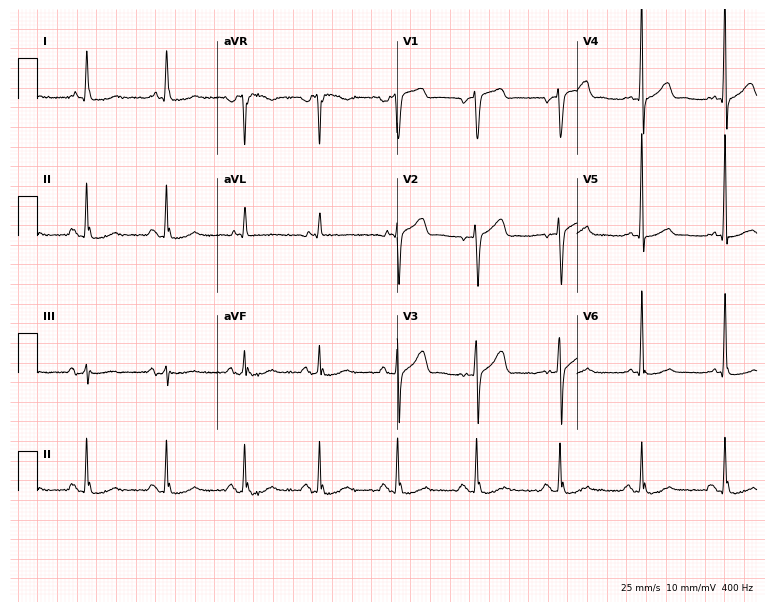
Electrocardiogram, a 61-year-old male patient. Of the six screened findings (first-degree AV block, right bundle branch block, left bundle branch block, sinus bradycardia, atrial fibrillation, sinus tachycardia), none is recorded.